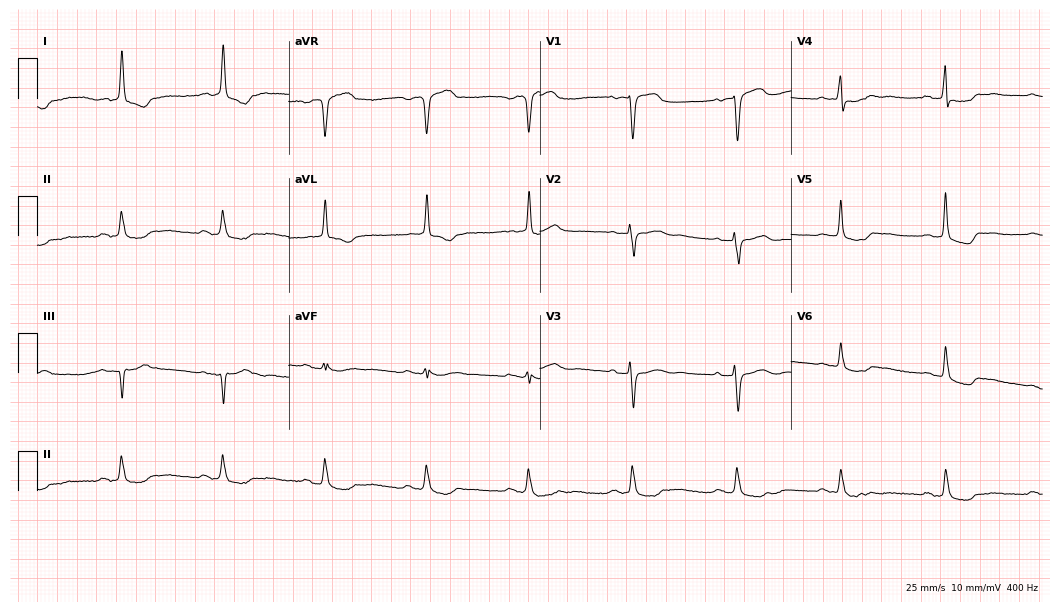
ECG — a 76-year-old female. Screened for six findings — first-degree AV block, right bundle branch block (RBBB), left bundle branch block (LBBB), sinus bradycardia, atrial fibrillation (AF), sinus tachycardia — none is recorded. Other findings, if any, are not listed.